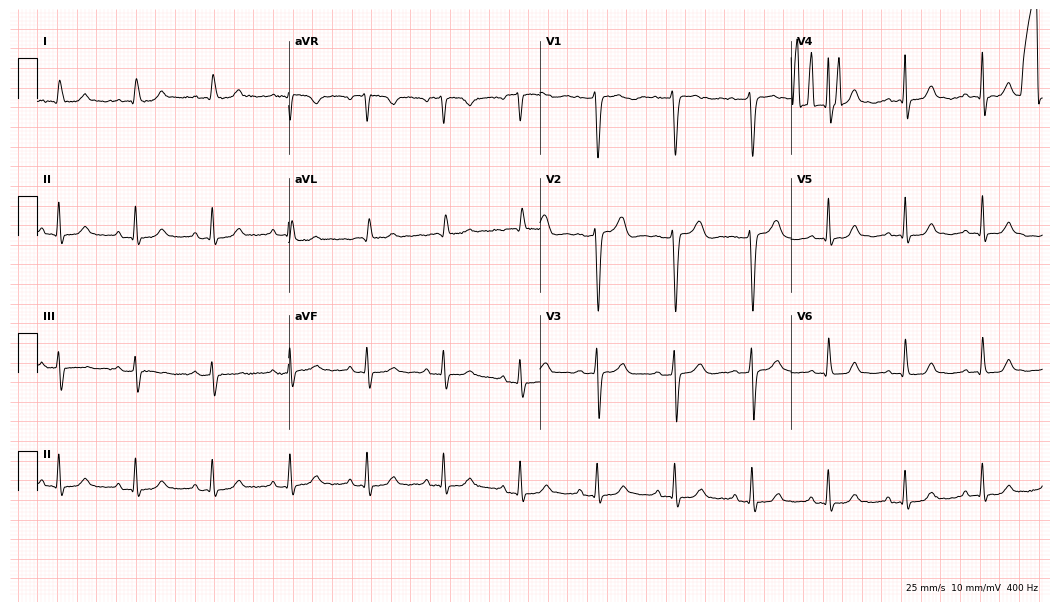
Resting 12-lead electrocardiogram (10.2-second recording at 400 Hz). Patient: a woman, 70 years old. Read as a normal ECG.